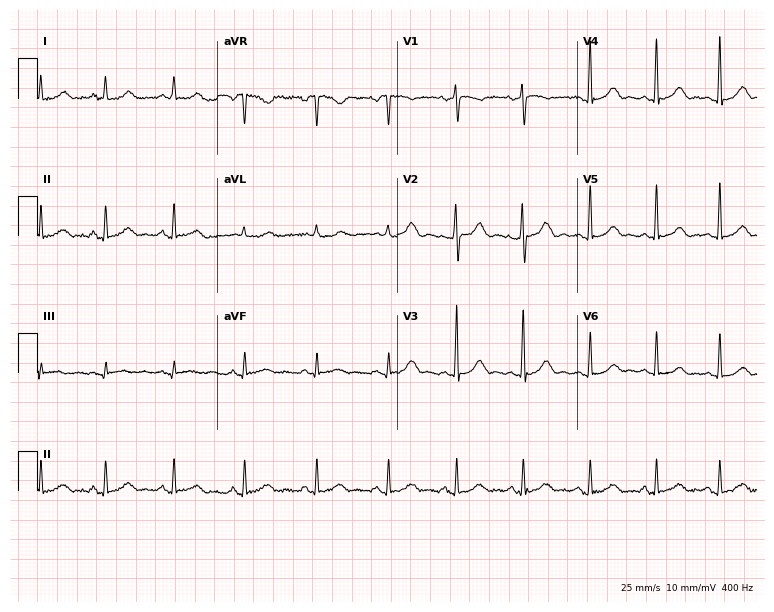
Standard 12-lead ECG recorded from a female patient, 33 years old (7.3-second recording at 400 Hz). Read as a normal ECG.